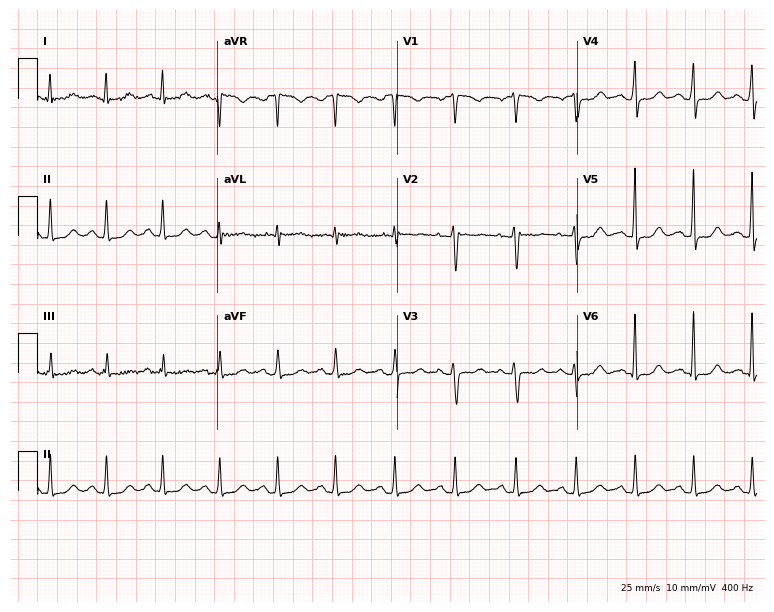
Electrocardiogram (7.3-second recording at 400 Hz), a 44-year-old female patient. Of the six screened findings (first-degree AV block, right bundle branch block, left bundle branch block, sinus bradycardia, atrial fibrillation, sinus tachycardia), none is recorded.